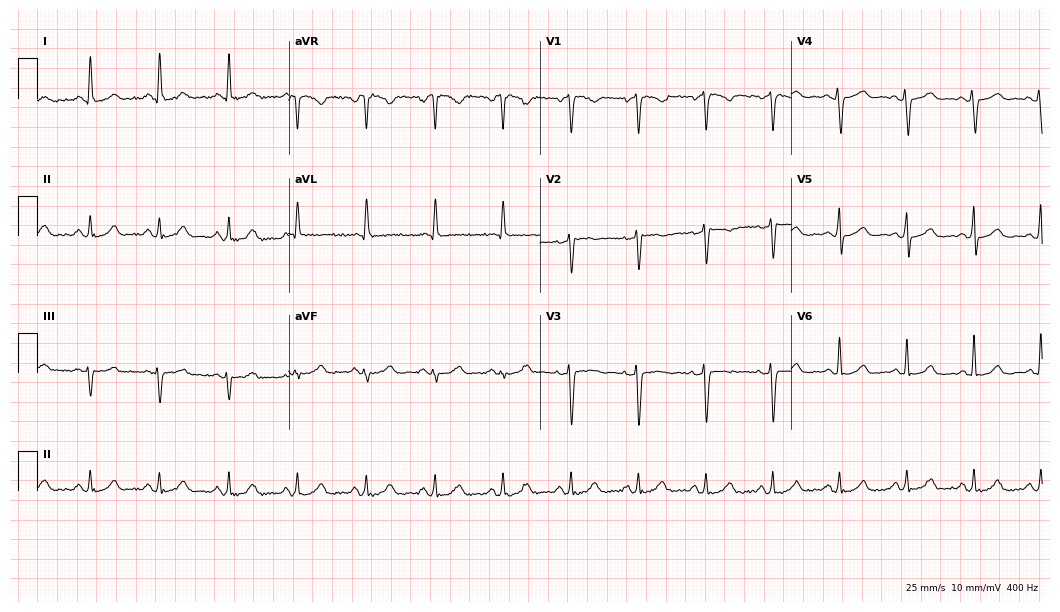
Resting 12-lead electrocardiogram. Patient: a female, 42 years old. Read as a normal ECG.